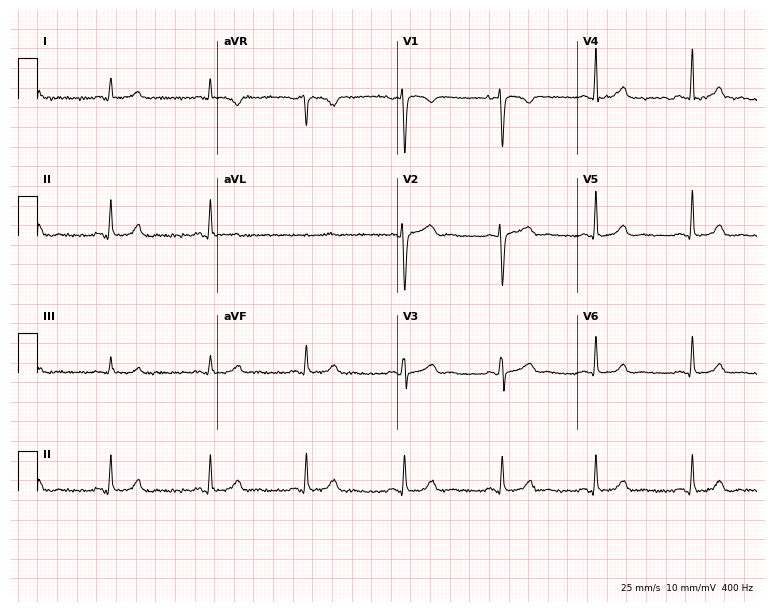
Resting 12-lead electrocardiogram. Patient: a female, 43 years old. Read as a normal ECG.